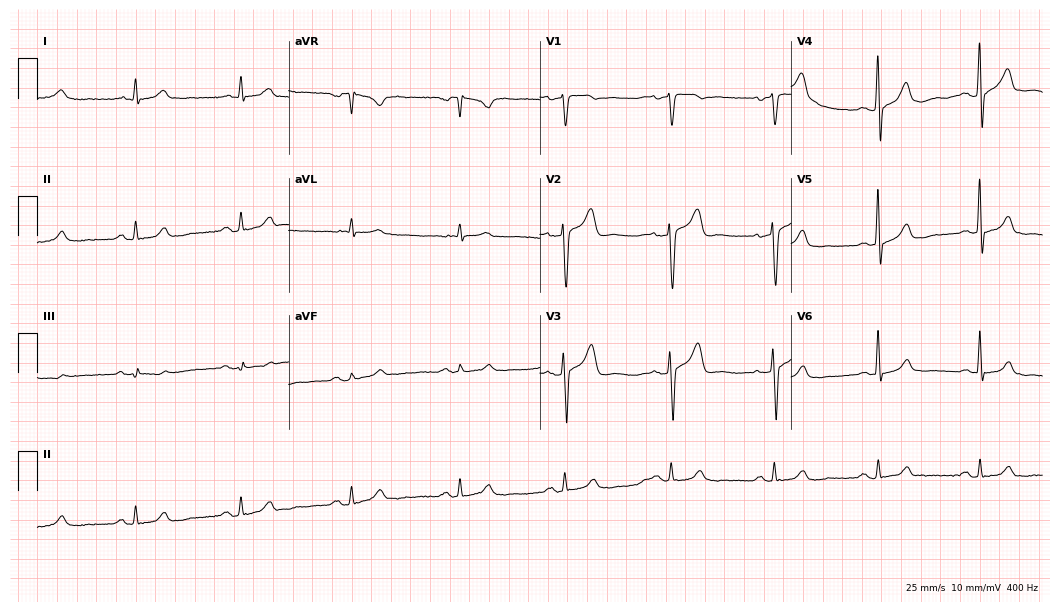
ECG (10.2-second recording at 400 Hz) — a 50-year-old male patient. Labelled as a normal ECG.